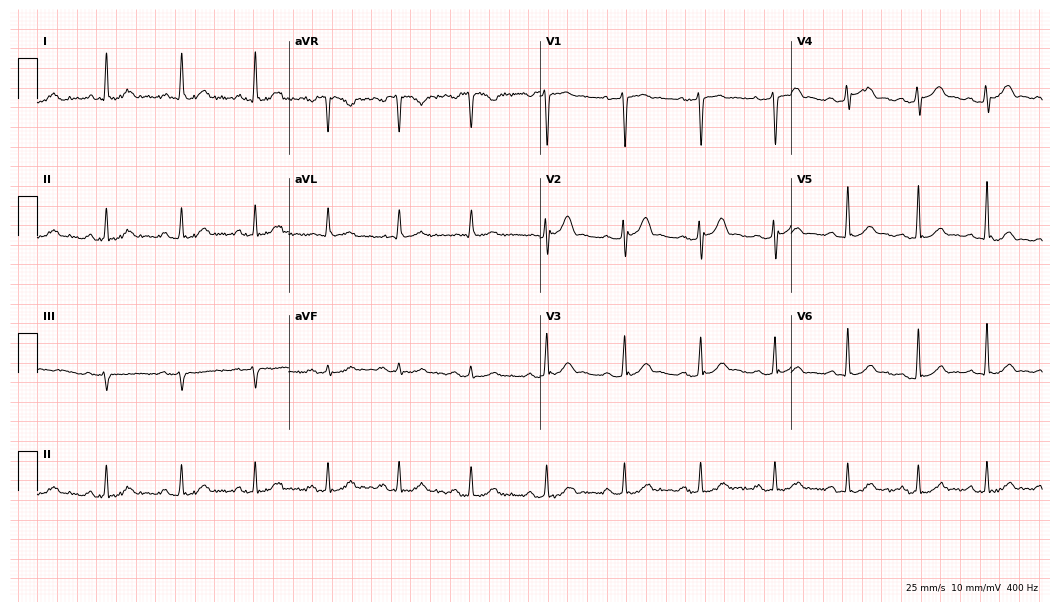
ECG (10.2-second recording at 400 Hz) — a male patient, 45 years old. Labelled as a normal ECG.